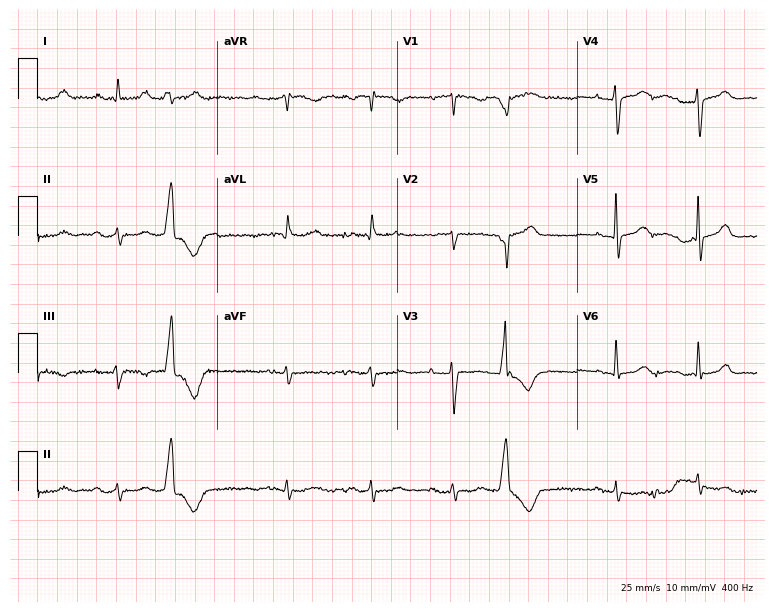
12-lead ECG from an 85-year-old man. Shows first-degree AV block.